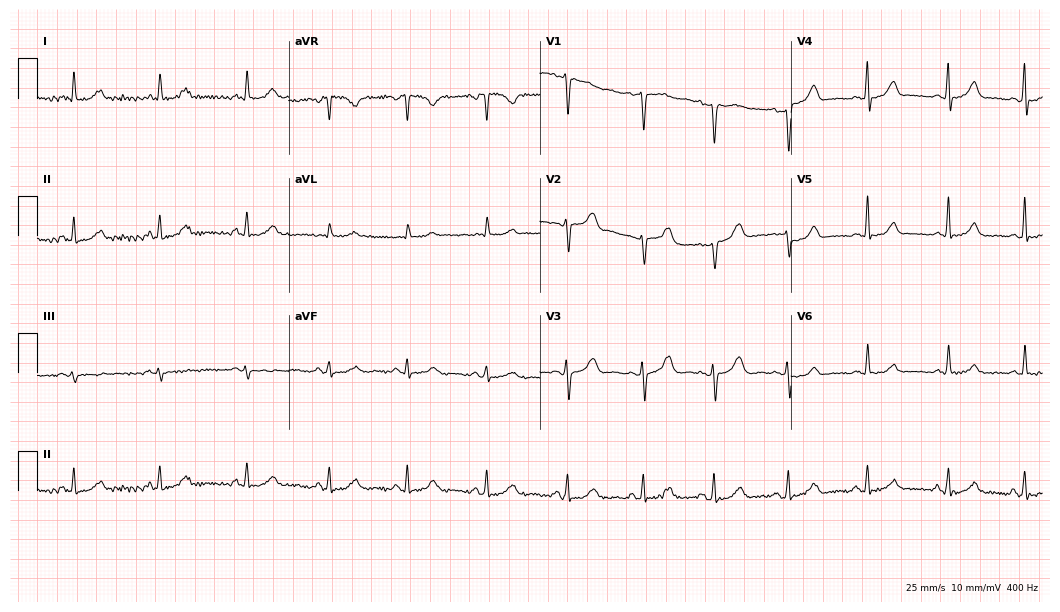
ECG — a female patient, 46 years old. Labelled as a normal ECG.